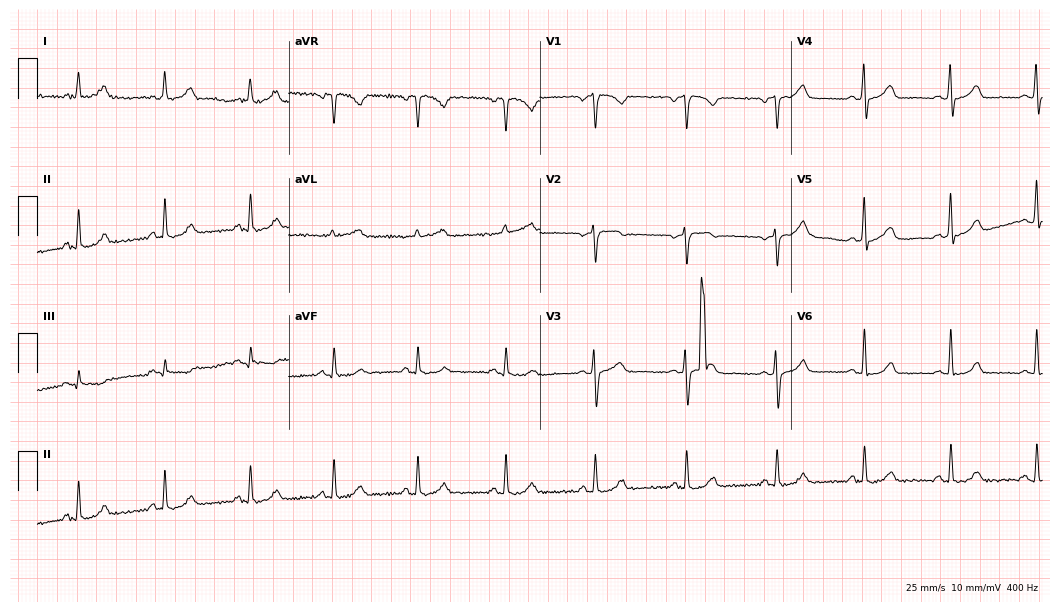
Resting 12-lead electrocardiogram. Patient: a 59-year-old female. Read as a normal ECG.